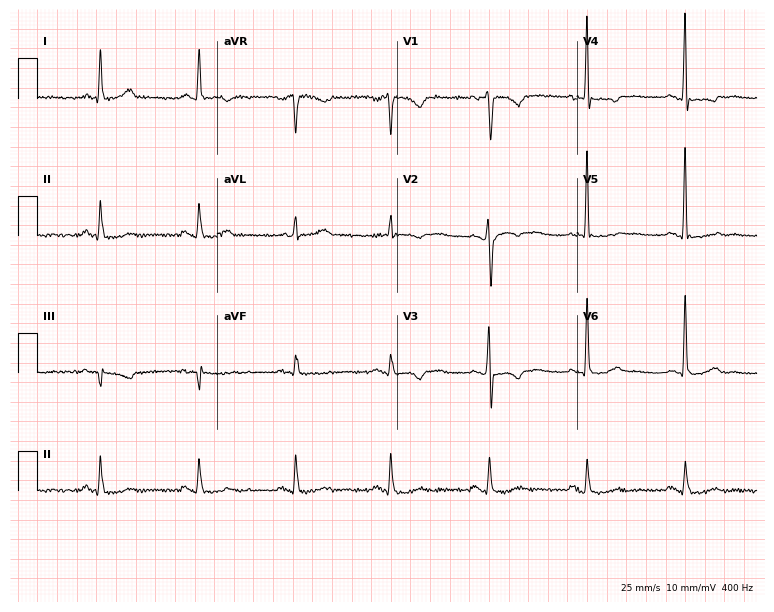
Electrocardiogram (7.3-second recording at 400 Hz), a 54-year-old man. Of the six screened findings (first-degree AV block, right bundle branch block (RBBB), left bundle branch block (LBBB), sinus bradycardia, atrial fibrillation (AF), sinus tachycardia), none is recorded. Findings outside these six are not listed.